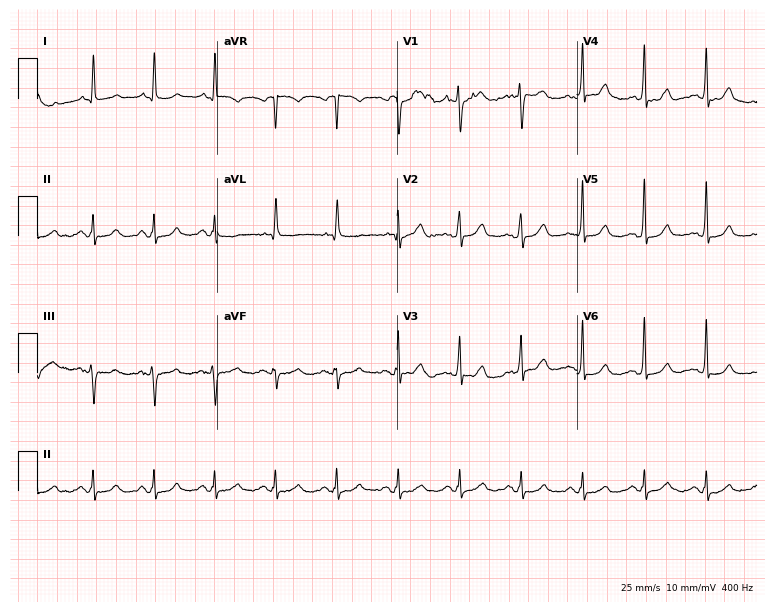
ECG (7.3-second recording at 400 Hz) — a 72-year-old female. Labelled as a normal ECG.